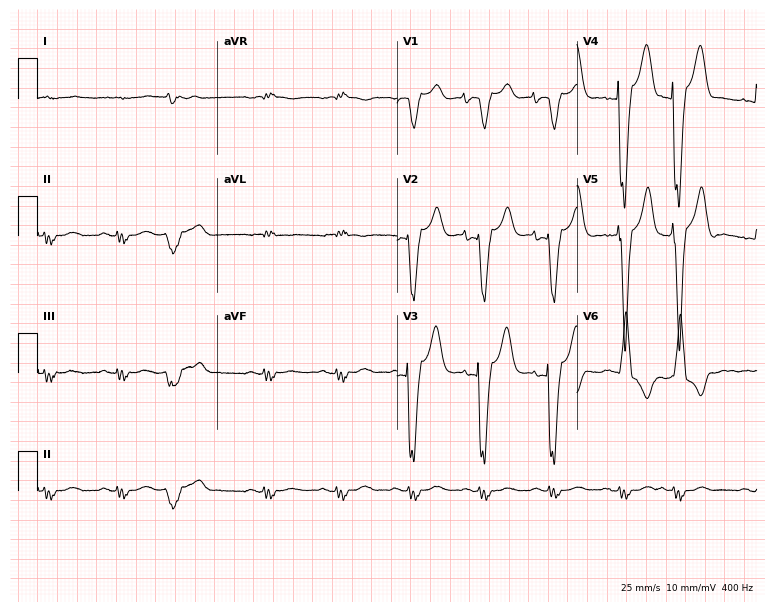
12-lead ECG (7.3-second recording at 400 Hz) from a woman, 79 years old. Findings include left bundle branch block.